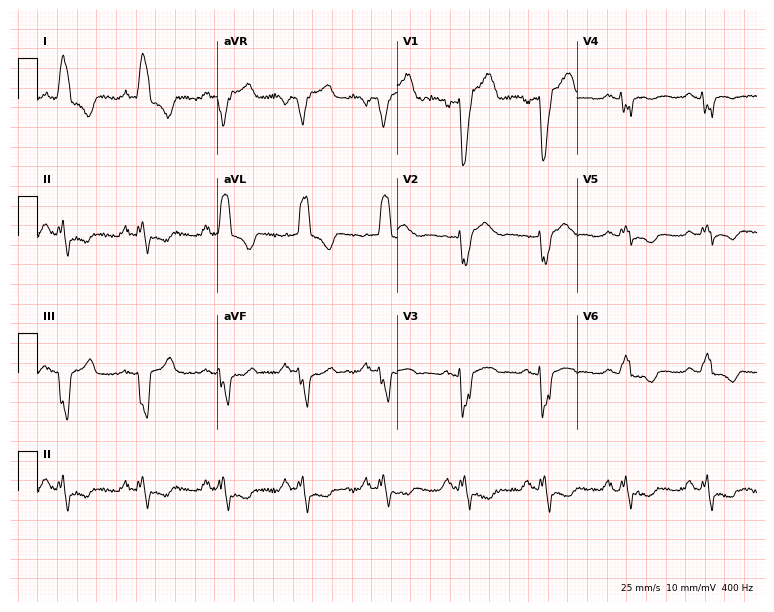
12-lead ECG (7.3-second recording at 400 Hz) from a woman, 67 years old. Findings include left bundle branch block.